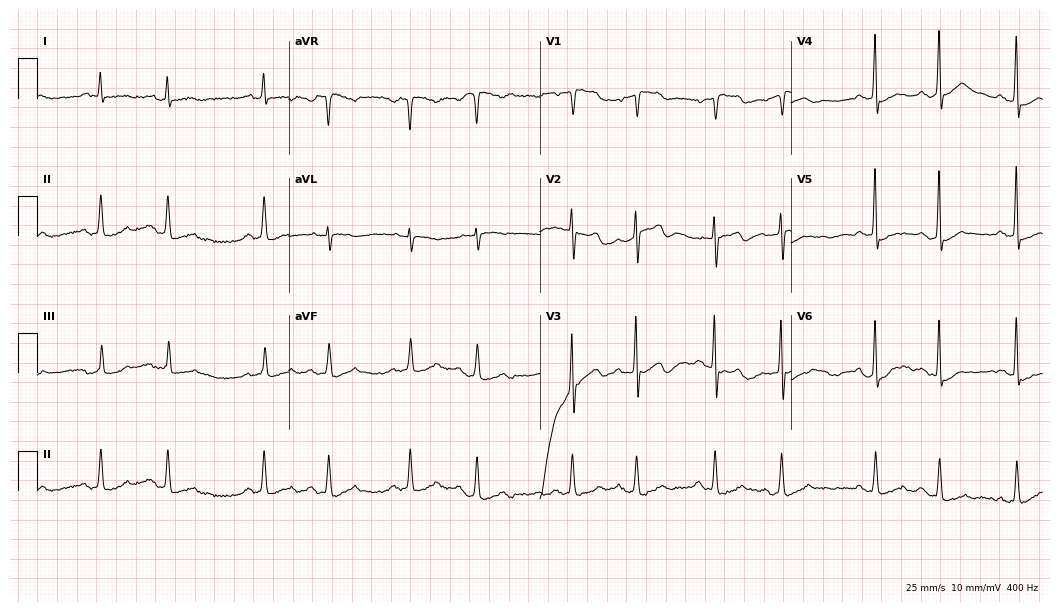
Resting 12-lead electrocardiogram (10.2-second recording at 400 Hz). Patient: a man, 75 years old. Read as a normal ECG.